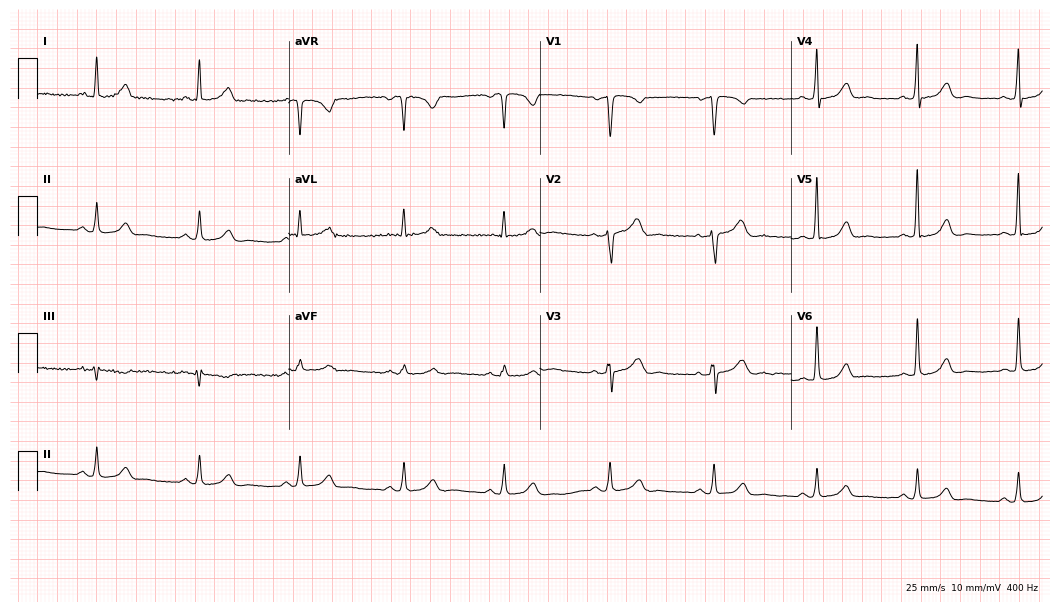
ECG — a 61-year-old woman. Labelled as a normal ECG.